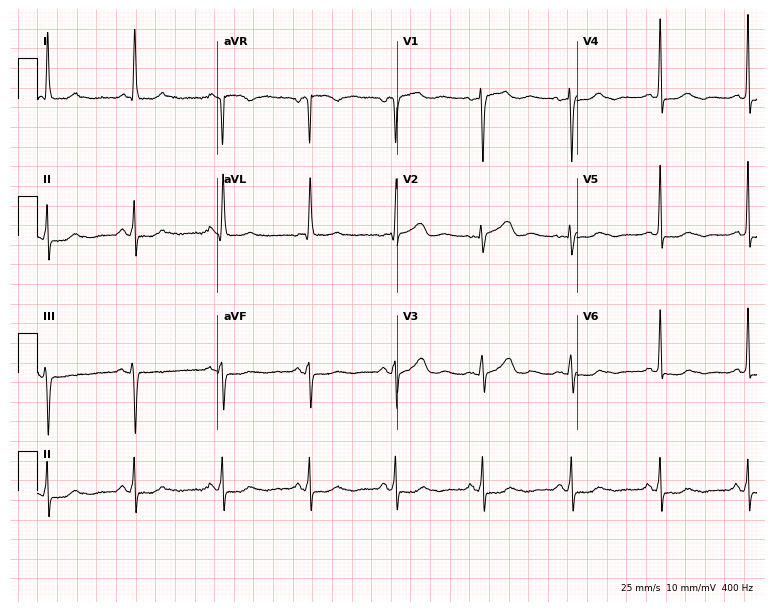
12-lead ECG (7.3-second recording at 400 Hz) from a 77-year-old female. Labelled as a normal ECG.